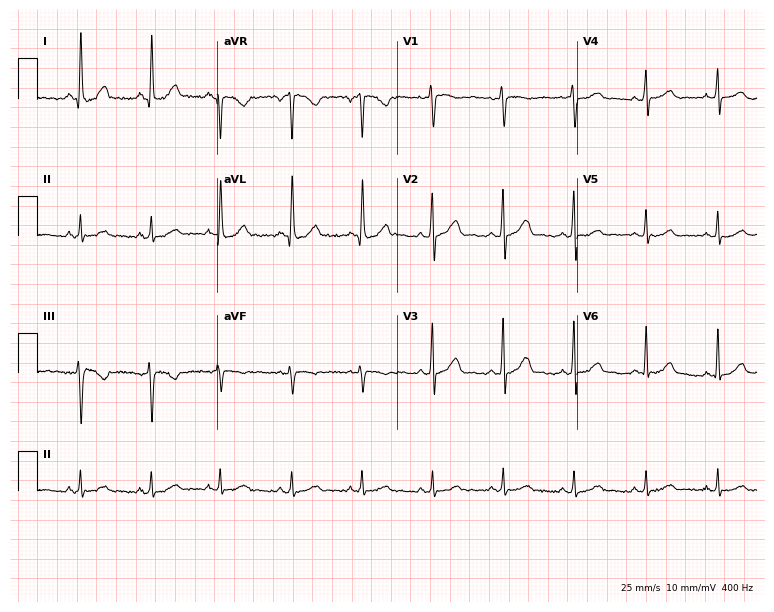
Standard 12-lead ECG recorded from a 38-year-old female (7.3-second recording at 400 Hz). None of these six findings is recorded: first-degree AV block, right bundle branch block (RBBB), left bundle branch block (LBBB), sinus bradycardia, atrial fibrillation (AF), sinus tachycardia. Other findings, if any, are not listed.